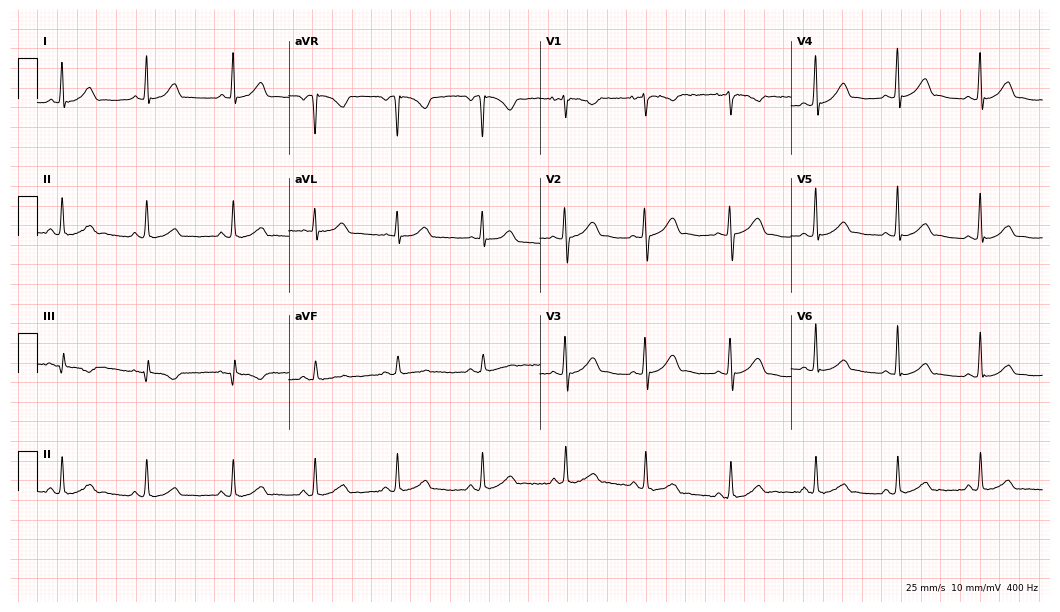
Electrocardiogram (10.2-second recording at 400 Hz), a female patient, 35 years old. Overall reading on record: normal ECG.